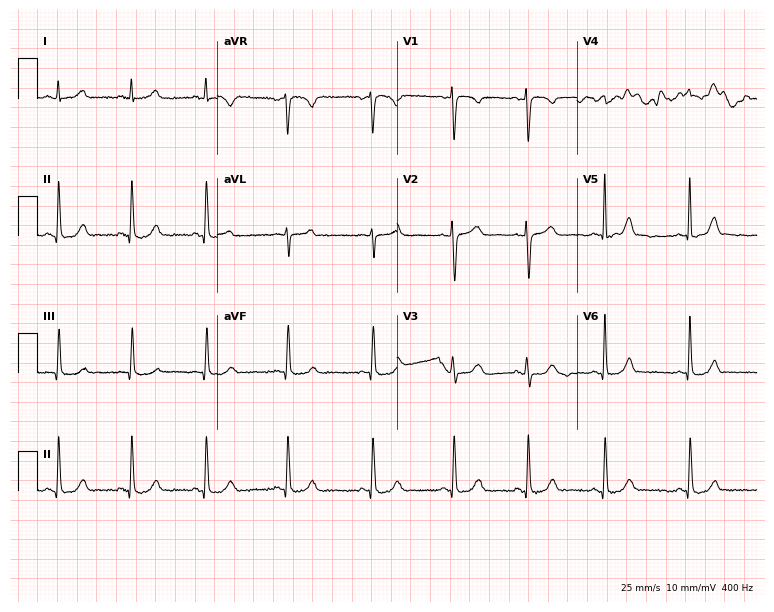
12-lead ECG from a woman, 30 years old (7.3-second recording at 400 Hz). No first-degree AV block, right bundle branch block, left bundle branch block, sinus bradycardia, atrial fibrillation or sinus tachycardia recorded for this tracing. Only these six findings were labelled.